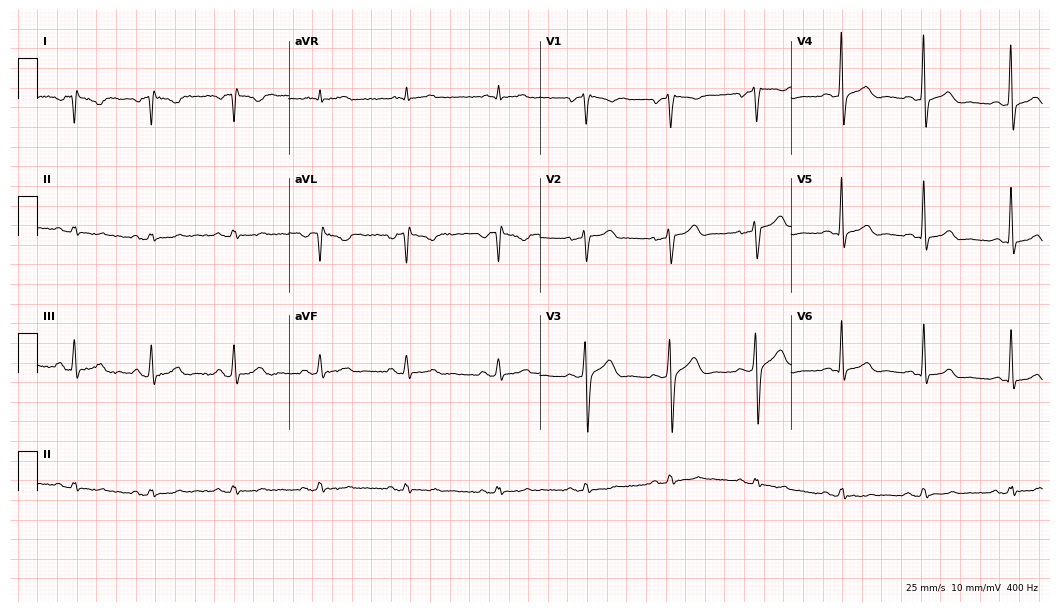
12-lead ECG from a male, 42 years old. No first-degree AV block, right bundle branch block, left bundle branch block, sinus bradycardia, atrial fibrillation or sinus tachycardia recorded for this tracing. Findings outside these six are not listed.